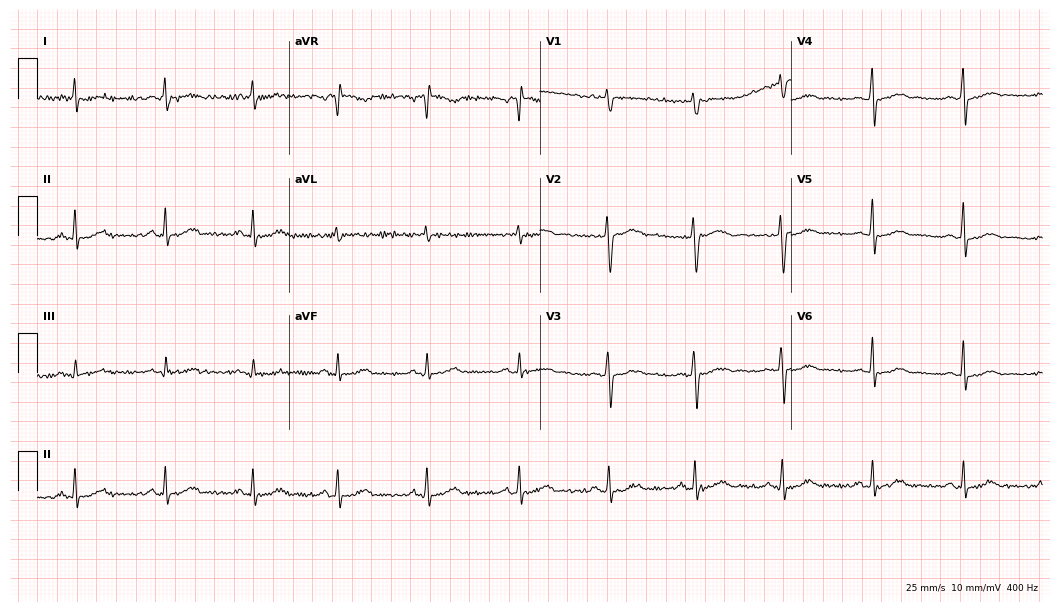
12-lead ECG from a female patient, 44 years old. Recorded interpretation: within normal limits.